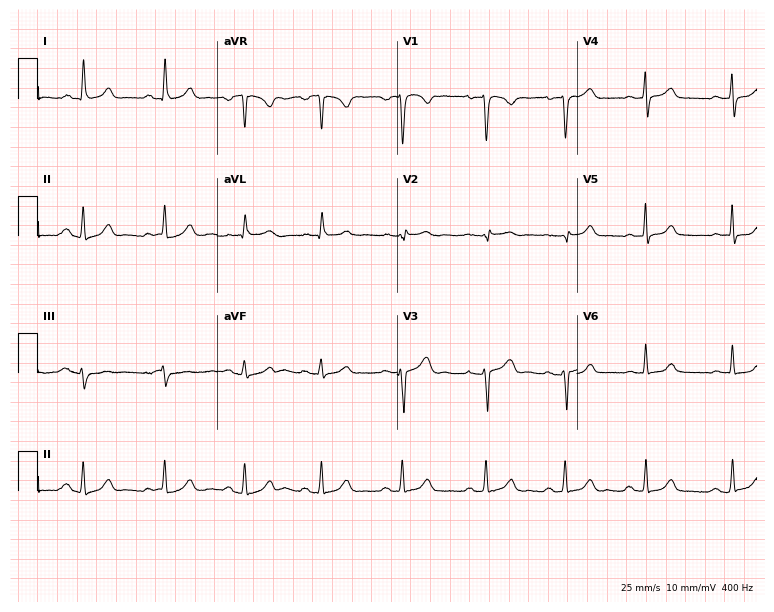
12-lead ECG from a woman, 29 years old (7.3-second recording at 400 Hz). Recorded interpretation: within normal limits.